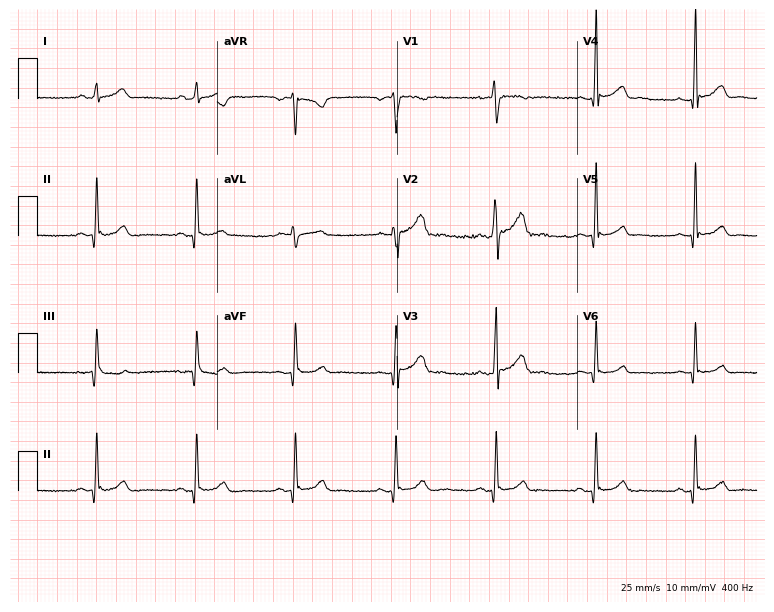
ECG (7.3-second recording at 400 Hz) — a male patient, 29 years old. Labelled as a normal ECG.